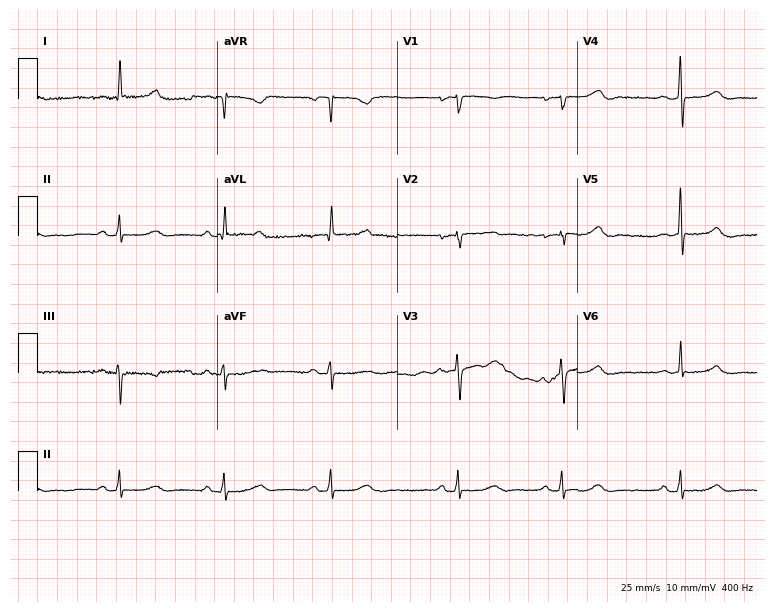
12-lead ECG (7.3-second recording at 400 Hz) from a female patient, 42 years old. Labelled as a normal ECG.